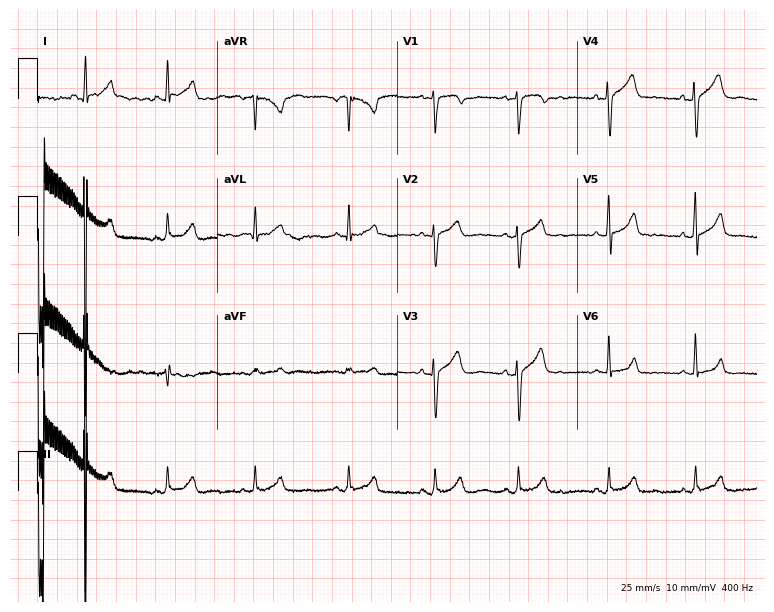
ECG (7.3-second recording at 400 Hz) — a male, 44 years old. Screened for six findings — first-degree AV block, right bundle branch block, left bundle branch block, sinus bradycardia, atrial fibrillation, sinus tachycardia — none is recorded.